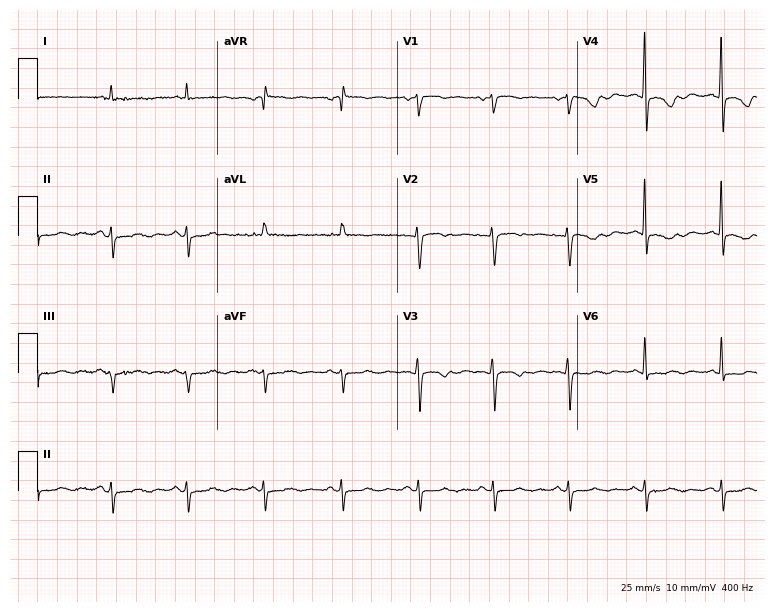
Electrocardiogram (7.3-second recording at 400 Hz), a woman, 54 years old. Of the six screened findings (first-degree AV block, right bundle branch block, left bundle branch block, sinus bradycardia, atrial fibrillation, sinus tachycardia), none is recorded.